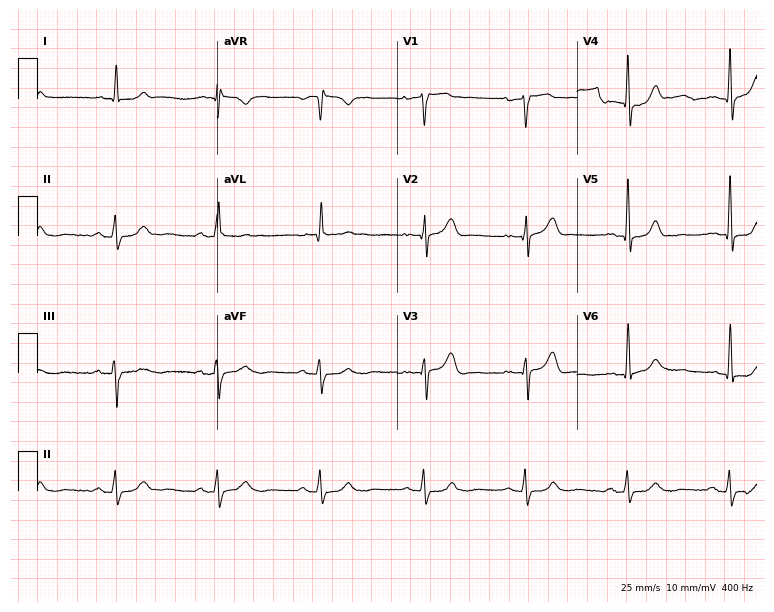
Standard 12-lead ECG recorded from a male patient, 82 years old. None of these six findings is recorded: first-degree AV block, right bundle branch block (RBBB), left bundle branch block (LBBB), sinus bradycardia, atrial fibrillation (AF), sinus tachycardia. Only these six findings were labelled.